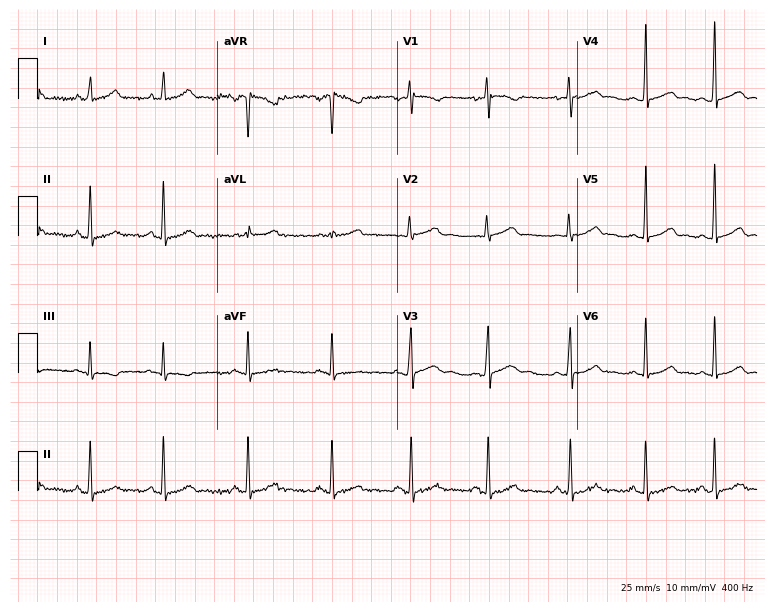
12-lead ECG from a female patient, 23 years old (7.3-second recording at 400 Hz). No first-degree AV block, right bundle branch block, left bundle branch block, sinus bradycardia, atrial fibrillation or sinus tachycardia recorded for this tracing.